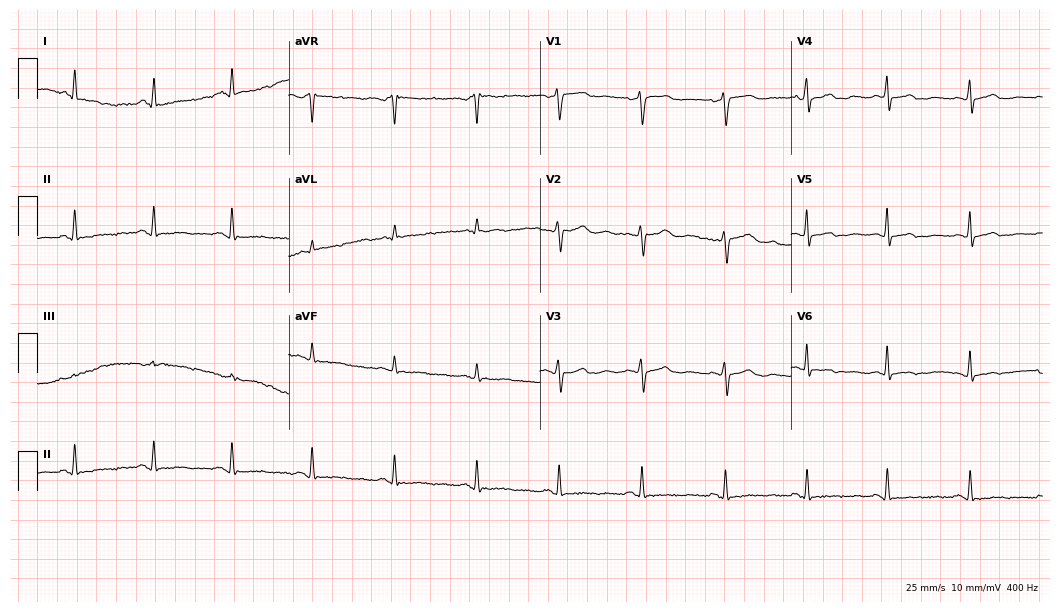
ECG (10.2-second recording at 400 Hz) — a 52-year-old female. Screened for six findings — first-degree AV block, right bundle branch block, left bundle branch block, sinus bradycardia, atrial fibrillation, sinus tachycardia — none is recorded. Findings outside these six are not listed.